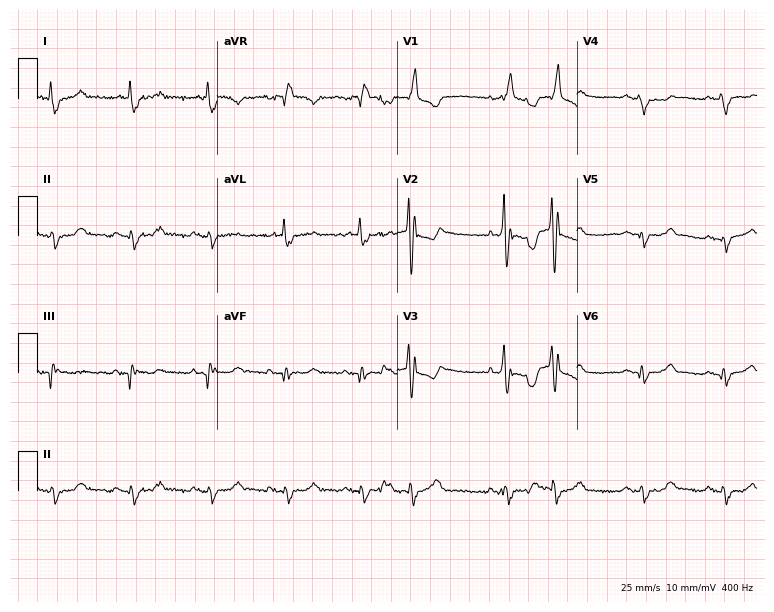
Electrocardiogram, a female, 67 years old. Interpretation includes right bundle branch block (RBBB).